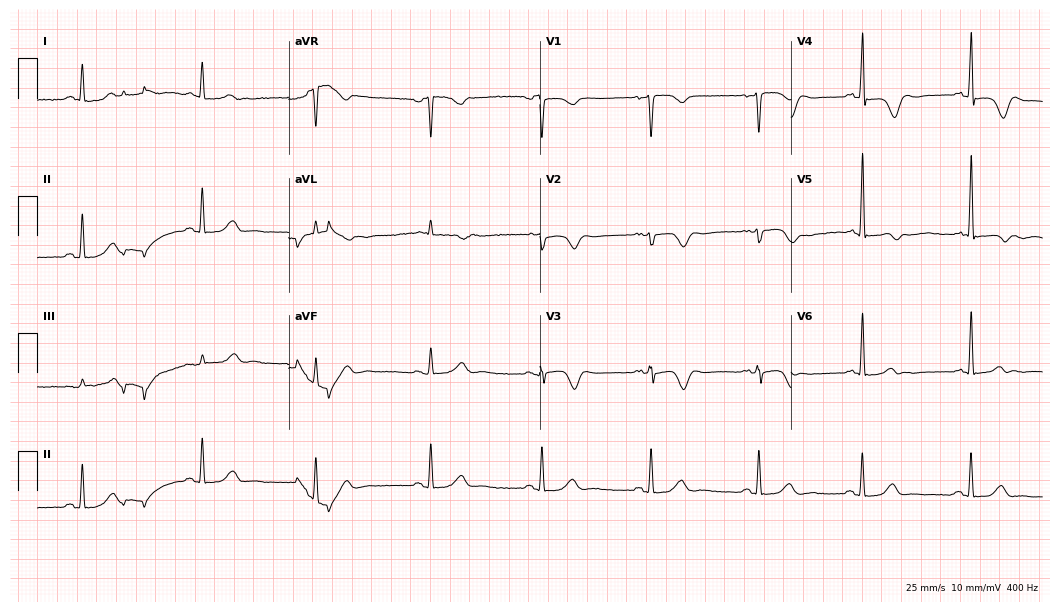
Electrocardiogram, a 47-year-old female patient. Of the six screened findings (first-degree AV block, right bundle branch block, left bundle branch block, sinus bradycardia, atrial fibrillation, sinus tachycardia), none is recorded. Only these six findings were labelled.